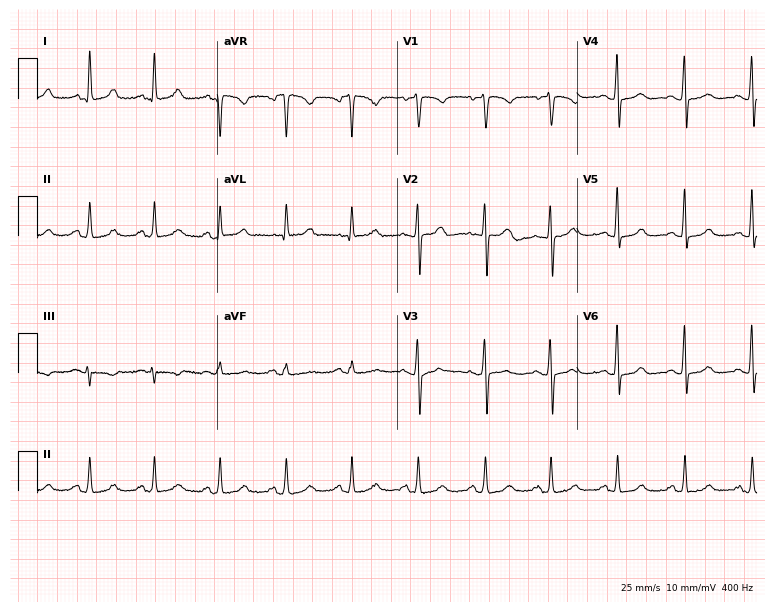
12-lead ECG from a female, 50 years old. Labelled as a normal ECG.